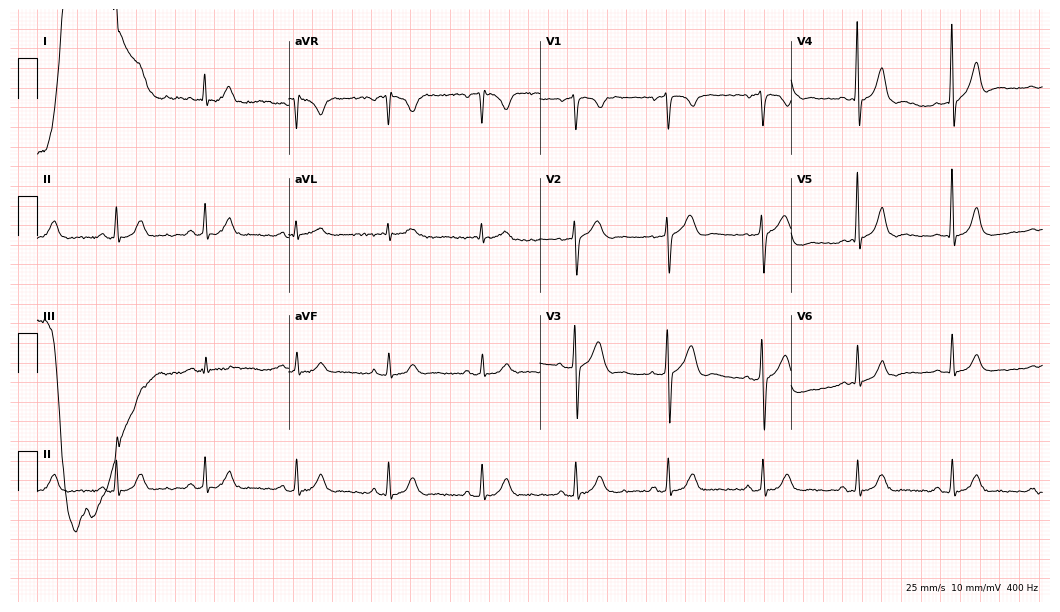
12-lead ECG from a 57-year-old male patient. Recorded interpretation: within normal limits.